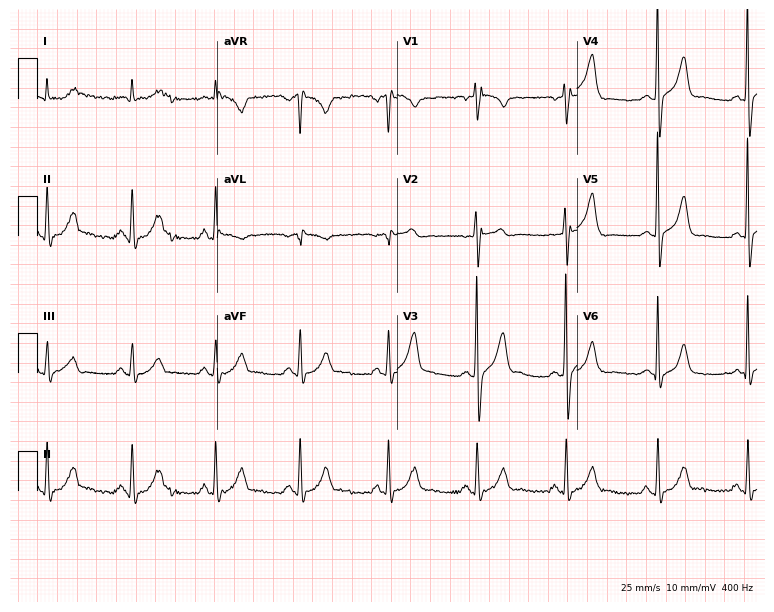
Electrocardiogram, a 47-year-old male. Of the six screened findings (first-degree AV block, right bundle branch block, left bundle branch block, sinus bradycardia, atrial fibrillation, sinus tachycardia), none is recorded.